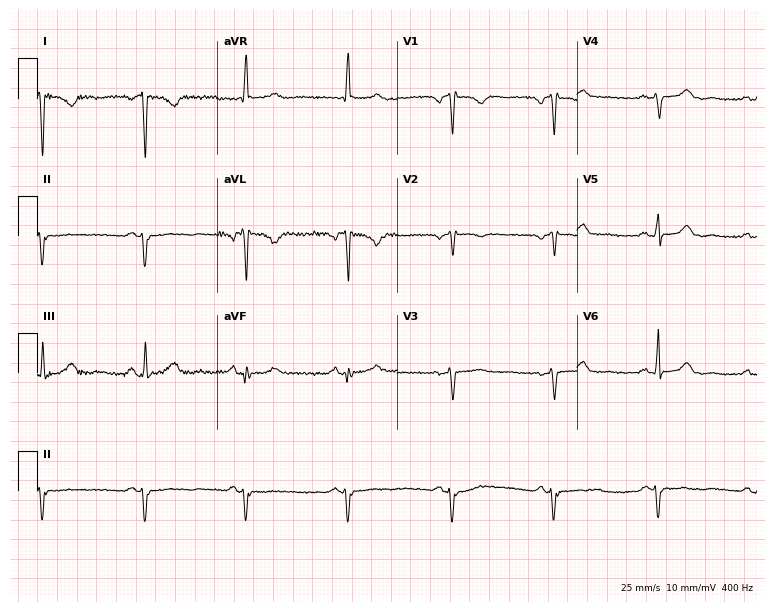
ECG (7.3-second recording at 400 Hz) — a female, 63 years old. Screened for six findings — first-degree AV block, right bundle branch block, left bundle branch block, sinus bradycardia, atrial fibrillation, sinus tachycardia — none is recorded.